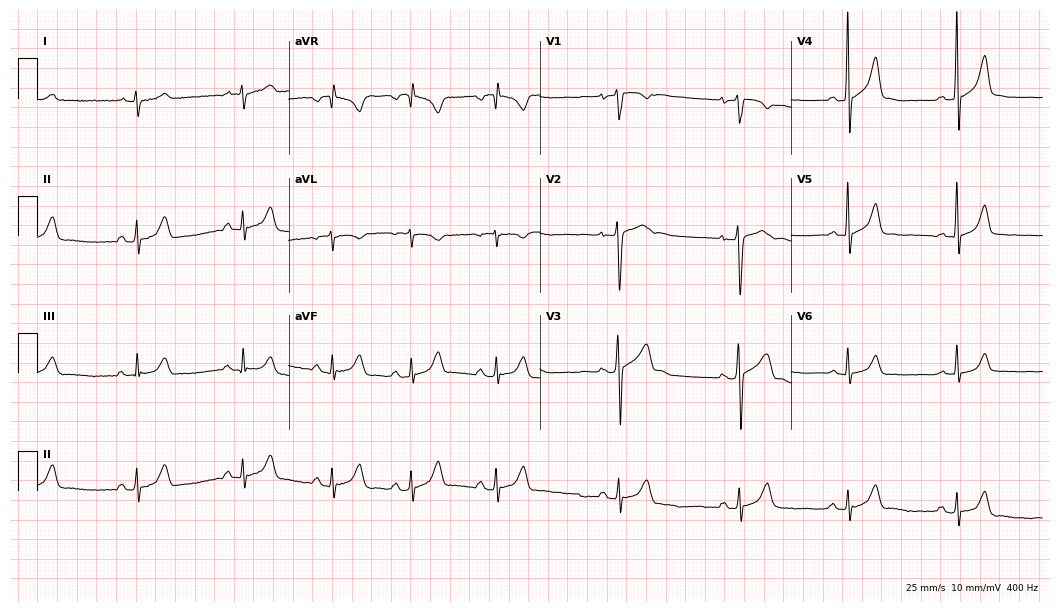
12-lead ECG from a 22-year-old male patient (10.2-second recording at 400 Hz). No first-degree AV block, right bundle branch block, left bundle branch block, sinus bradycardia, atrial fibrillation or sinus tachycardia recorded for this tracing.